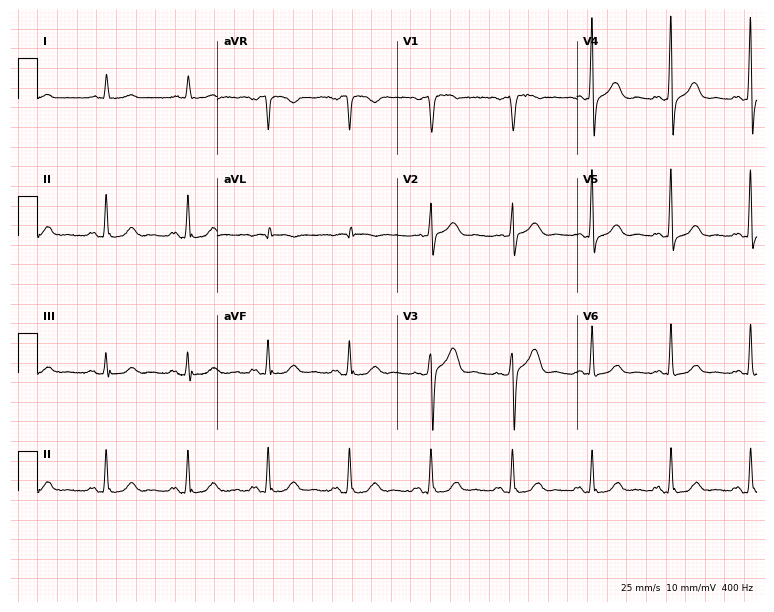
Resting 12-lead electrocardiogram. Patient: a 58-year-old male. Read as a normal ECG.